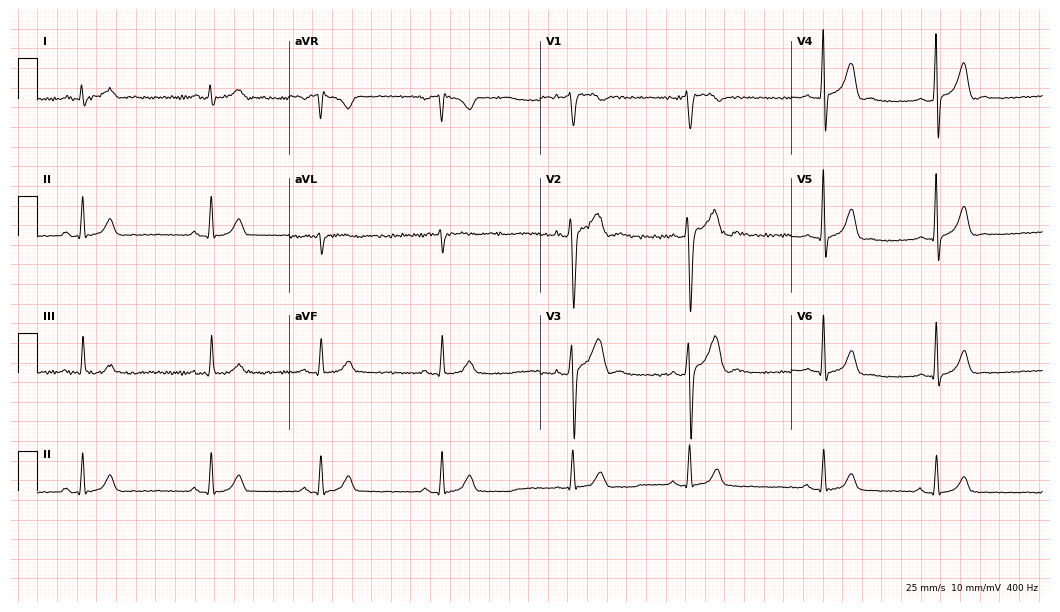
ECG (10.2-second recording at 400 Hz) — a 22-year-old male patient. Screened for six findings — first-degree AV block, right bundle branch block, left bundle branch block, sinus bradycardia, atrial fibrillation, sinus tachycardia — none is recorded. Findings outside these six are not listed.